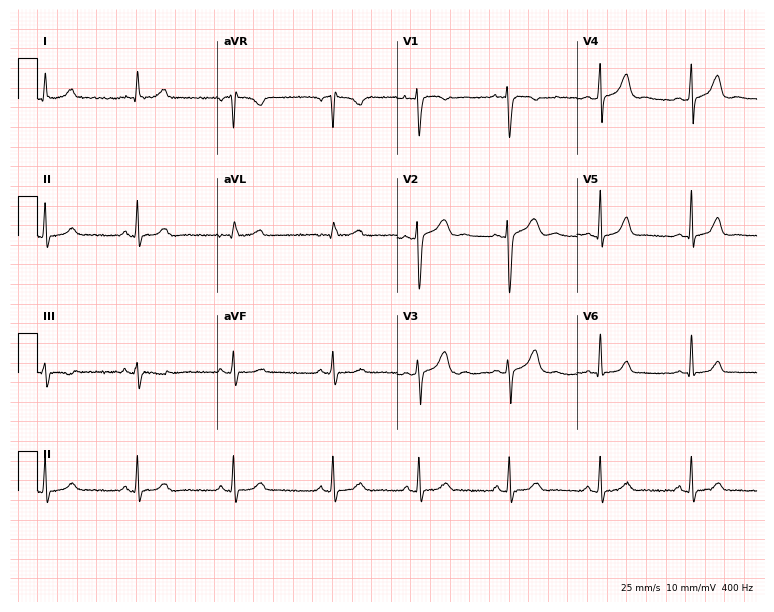
ECG — a 27-year-old female patient. Screened for six findings — first-degree AV block, right bundle branch block (RBBB), left bundle branch block (LBBB), sinus bradycardia, atrial fibrillation (AF), sinus tachycardia — none is recorded.